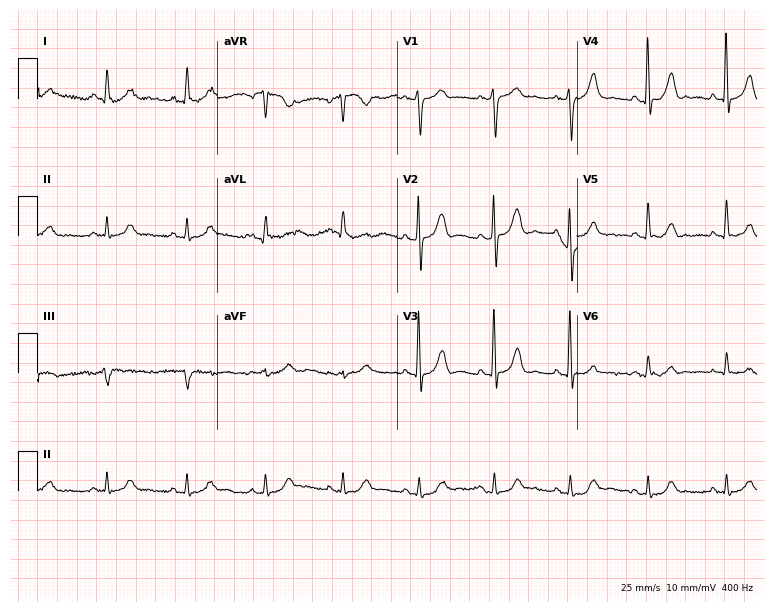
Electrocardiogram (7.3-second recording at 400 Hz), a 51-year-old male. Of the six screened findings (first-degree AV block, right bundle branch block, left bundle branch block, sinus bradycardia, atrial fibrillation, sinus tachycardia), none is recorded.